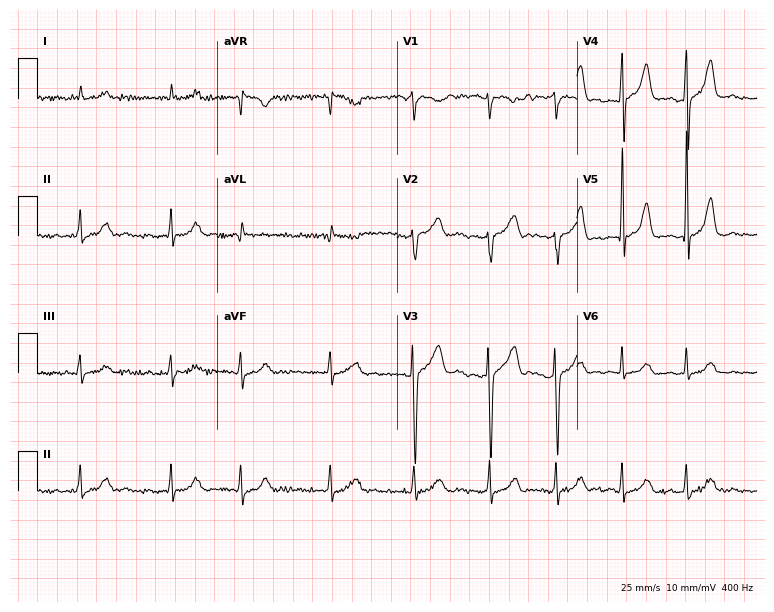
Electrocardiogram (7.3-second recording at 400 Hz), an 84-year-old male. Interpretation includes atrial fibrillation.